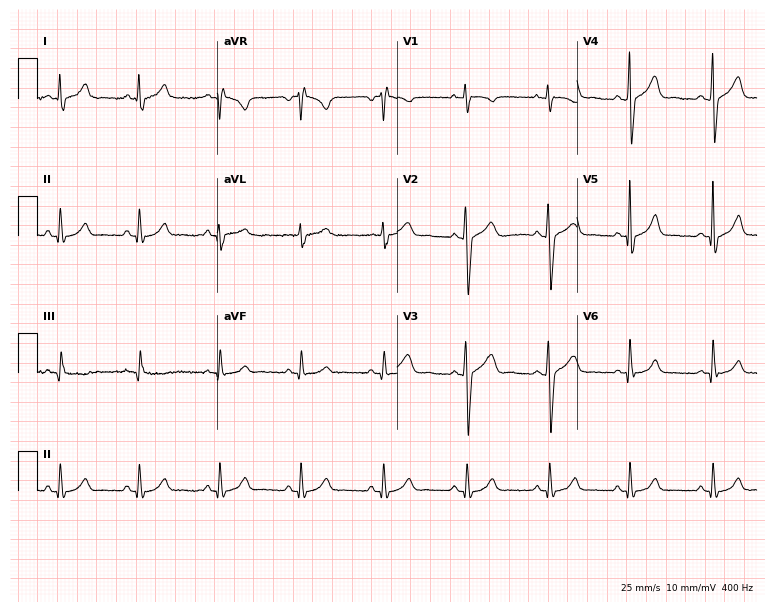
ECG (7.3-second recording at 400 Hz) — a 21-year-old male. Labelled as a normal ECG.